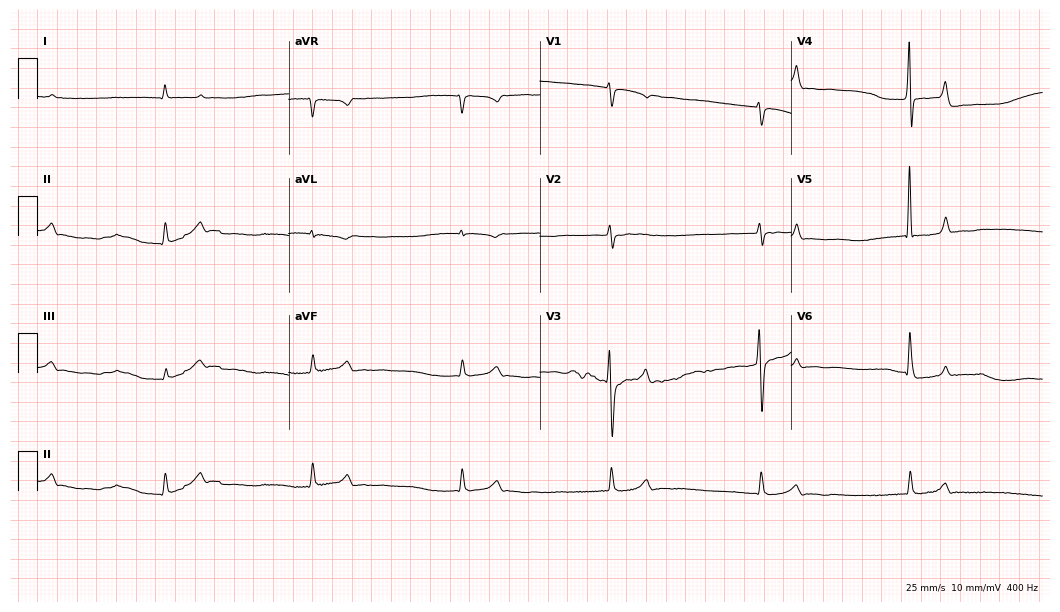
Electrocardiogram (10.2-second recording at 400 Hz), a female patient, 76 years old. Of the six screened findings (first-degree AV block, right bundle branch block, left bundle branch block, sinus bradycardia, atrial fibrillation, sinus tachycardia), none is recorded.